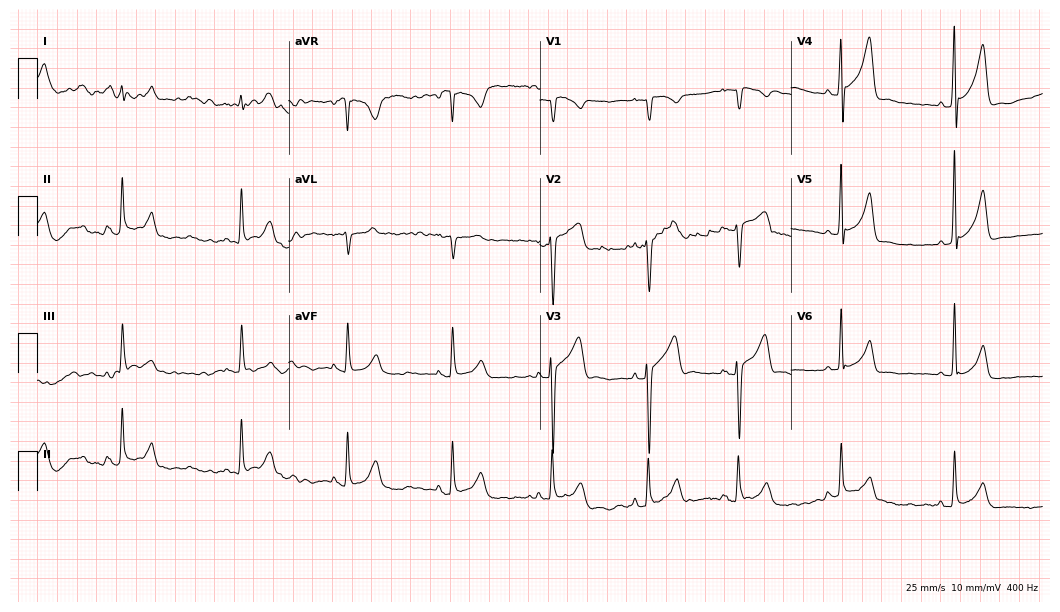
Electrocardiogram, a male patient, 28 years old. Overall reading on record: normal ECG.